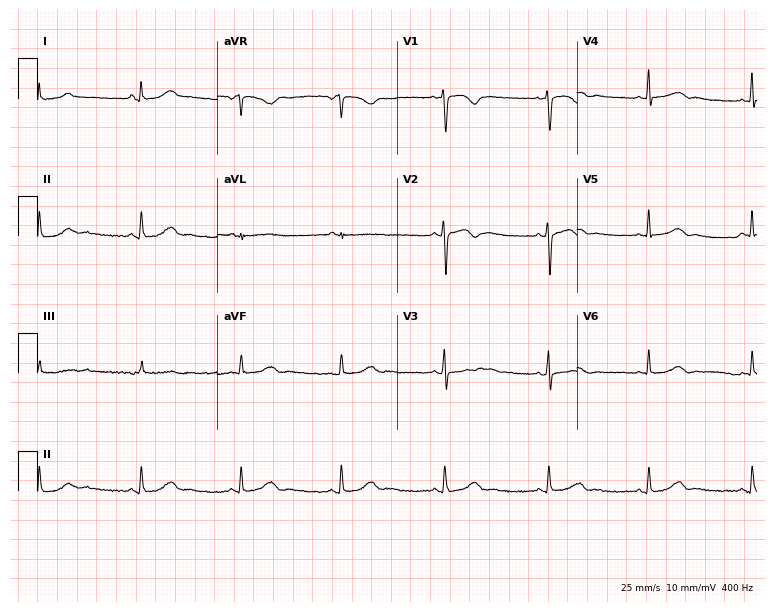
Resting 12-lead electrocardiogram (7.3-second recording at 400 Hz). Patient: a 39-year-old female. None of these six findings is recorded: first-degree AV block, right bundle branch block, left bundle branch block, sinus bradycardia, atrial fibrillation, sinus tachycardia.